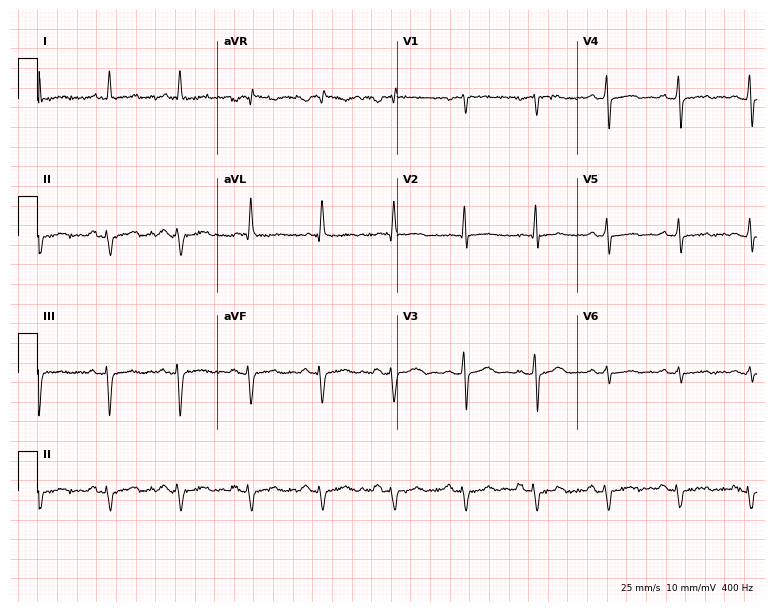
12-lead ECG from a 64-year-old male patient. No first-degree AV block, right bundle branch block, left bundle branch block, sinus bradycardia, atrial fibrillation or sinus tachycardia recorded for this tracing.